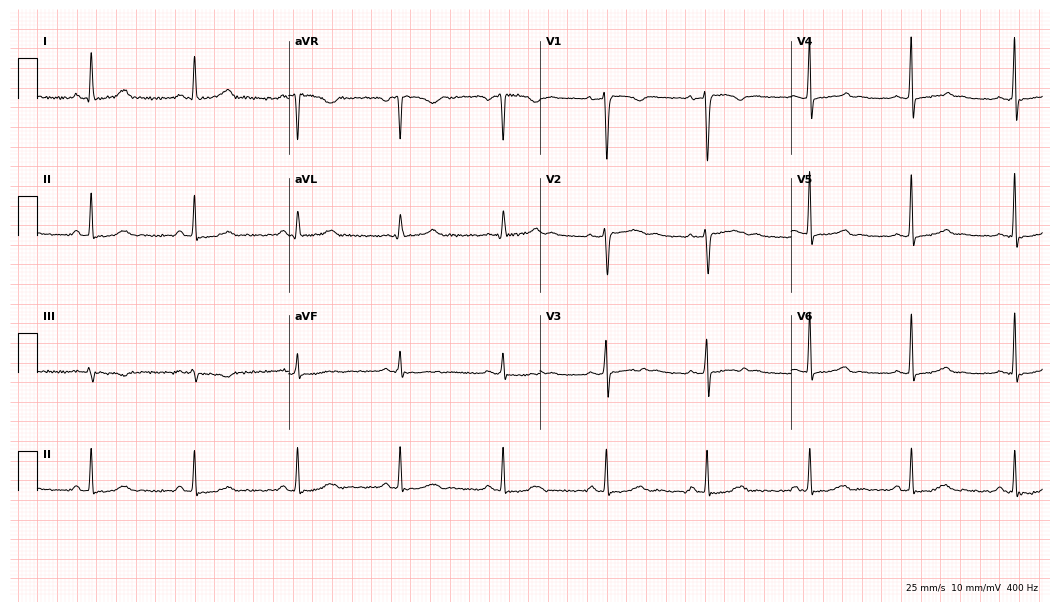
Electrocardiogram (10.2-second recording at 400 Hz), a female patient, 39 years old. Overall reading on record: normal ECG.